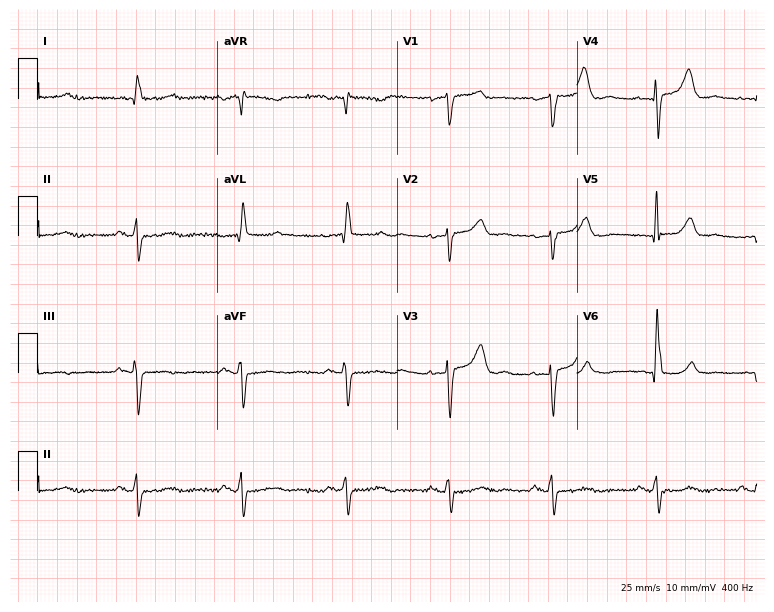
Standard 12-lead ECG recorded from an 81-year-old male. None of these six findings is recorded: first-degree AV block, right bundle branch block (RBBB), left bundle branch block (LBBB), sinus bradycardia, atrial fibrillation (AF), sinus tachycardia. Findings outside these six are not listed.